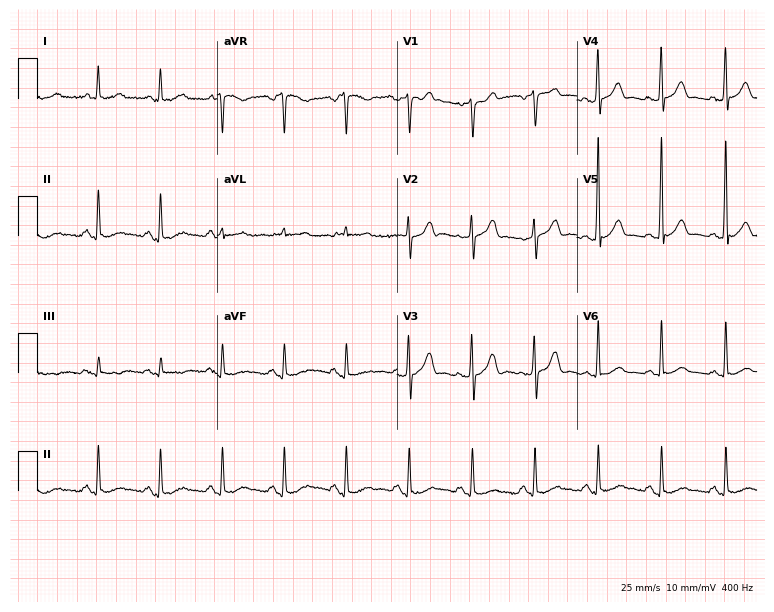
Electrocardiogram (7.3-second recording at 400 Hz), a 54-year-old male patient. Overall reading on record: normal ECG.